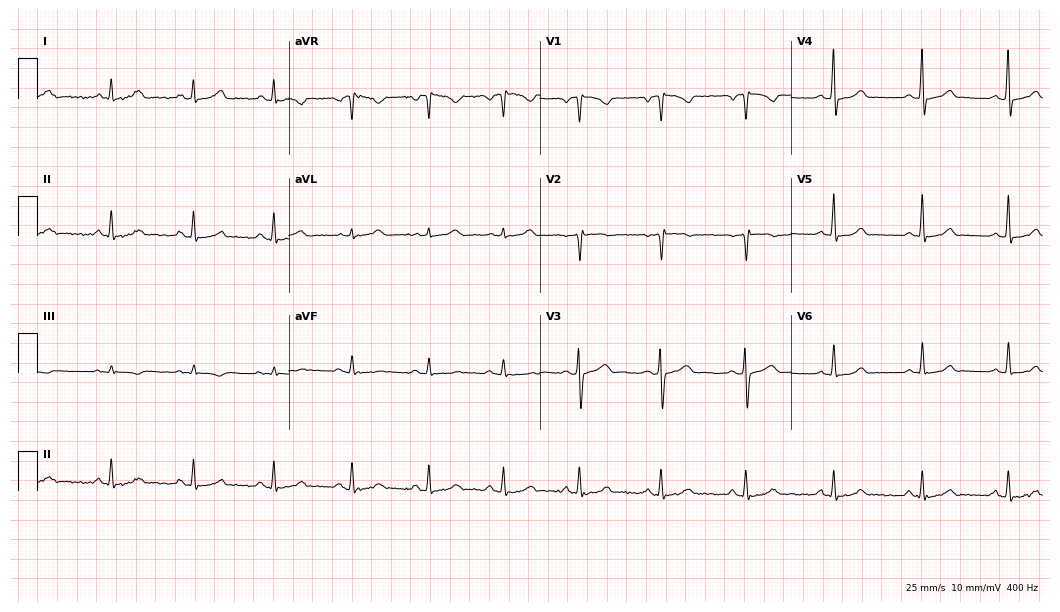
ECG — a 27-year-old female. Screened for six findings — first-degree AV block, right bundle branch block, left bundle branch block, sinus bradycardia, atrial fibrillation, sinus tachycardia — none is recorded.